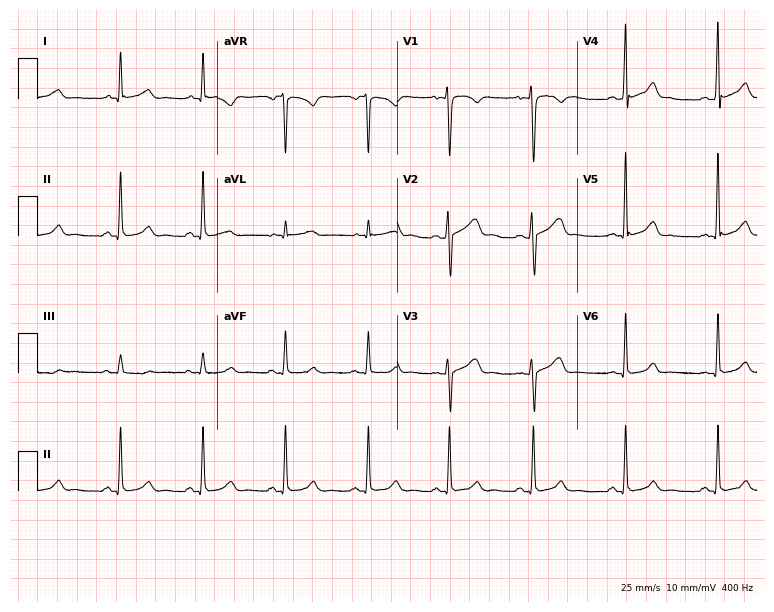
12-lead ECG (7.3-second recording at 400 Hz) from a 32-year-old female. Labelled as a normal ECG.